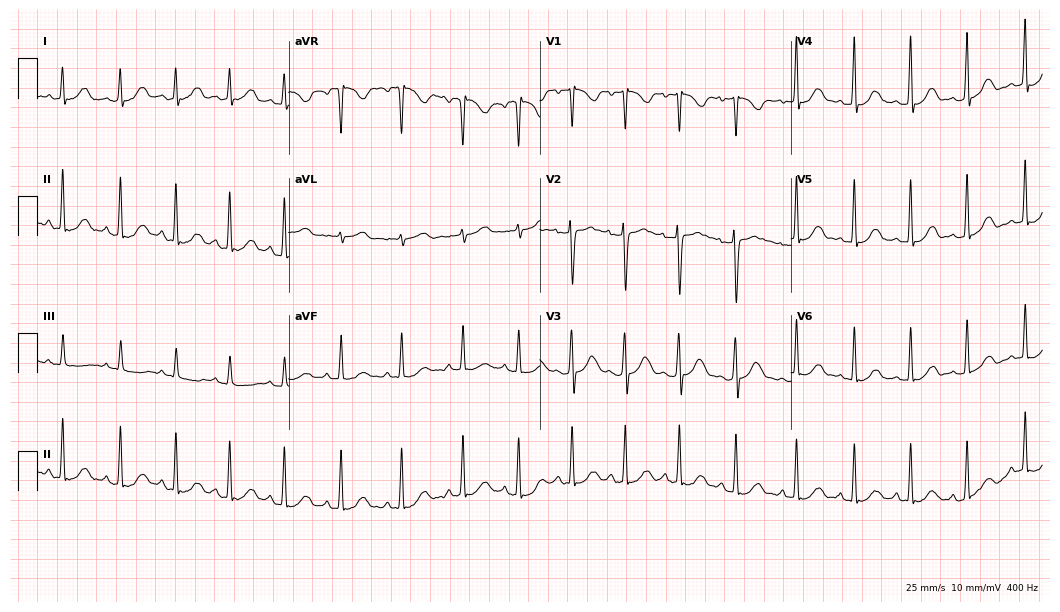
12-lead ECG from a female patient, 25 years old. Recorded interpretation: within normal limits.